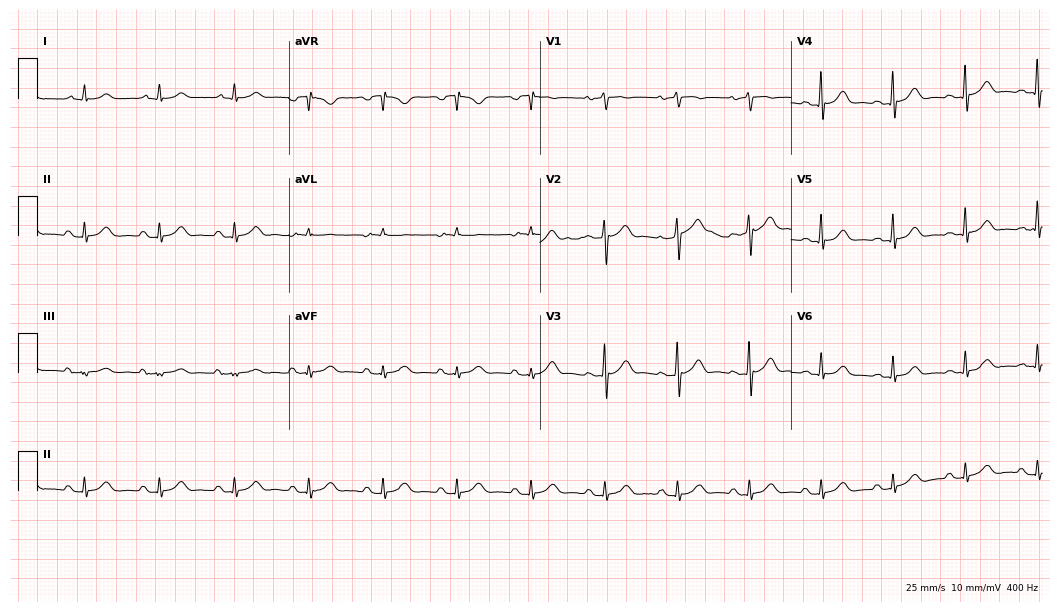
ECG — a male, 59 years old. Labelled as a normal ECG.